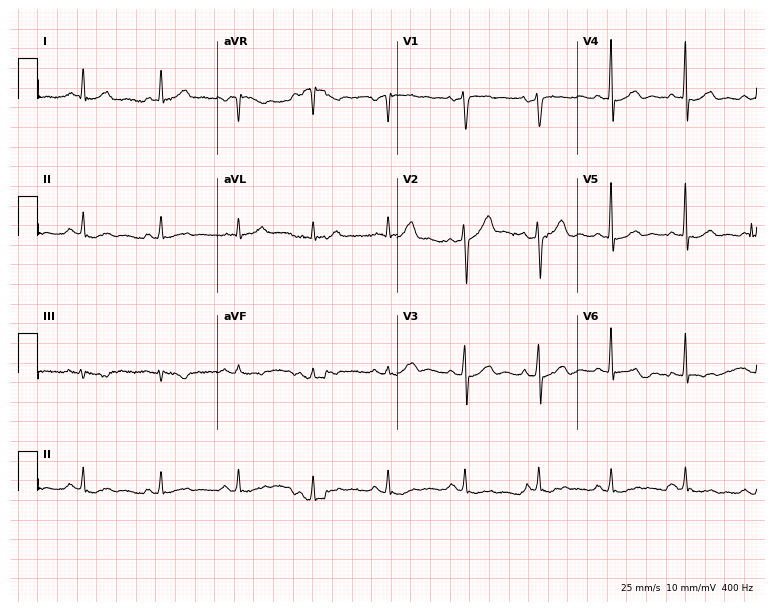
12-lead ECG (7.3-second recording at 400 Hz) from a 57-year-old man. Screened for six findings — first-degree AV block, right bundle branch block, left bundle branch block, sinus bradycardia, atrial fibrillation, sinus tachycardia — none is recorded.